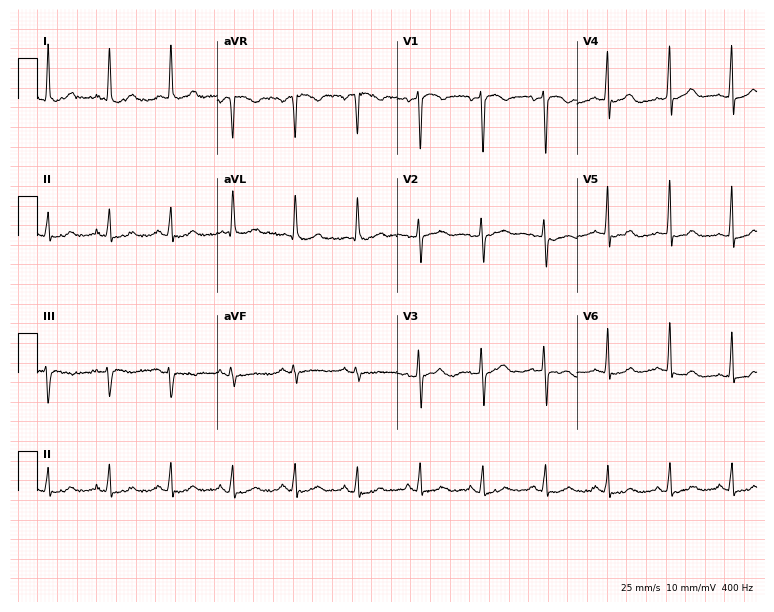
Standard 12-lead ECG recorded from a 60-year-old female. None of these six findings is recorded: first-degree AV block, right bundle branch block, left bundle branch block, sinus bradycardia, atrial fibrillation, sinus tachycardia. Only these six findings were labelled.